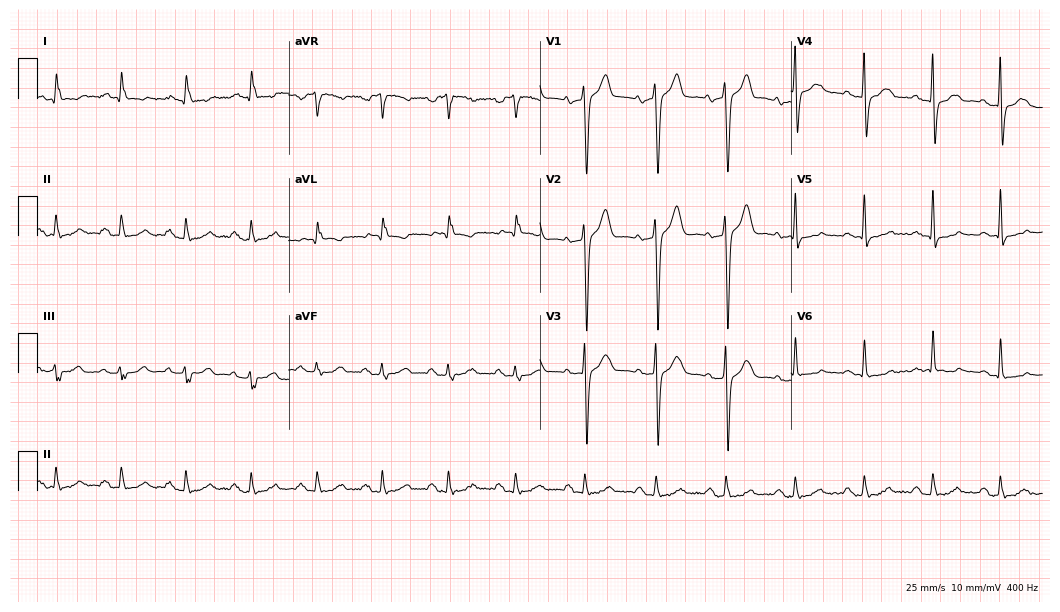
12-lead ECG from a male, 75 years old (10.2-second recording at 400 Hz). No first-degree AV block, right bundle branch block, left bundle branch block, sinus bradycardia, atrial fibrillation or sinus tachycardia recorded for this tracing. Findings outside these six are not listed.